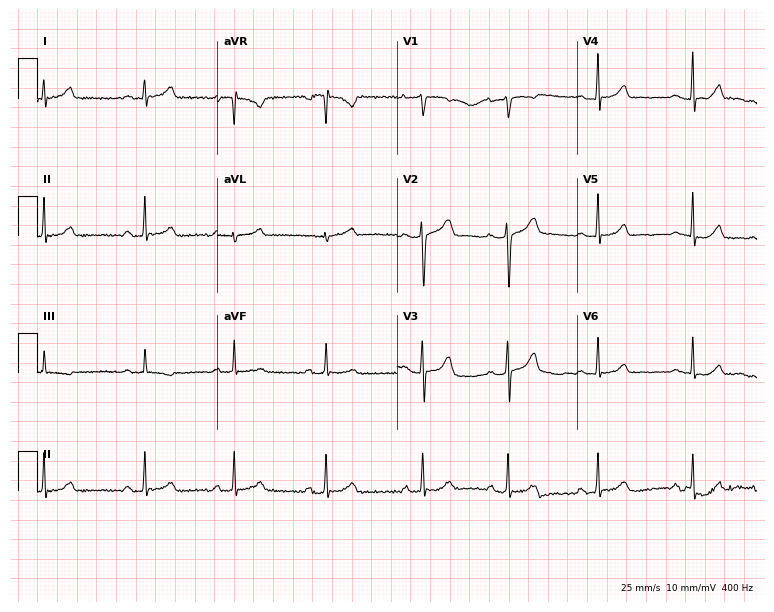
ECG — a 17-year-old female. Screened for six findings — first-degree AV block, right bundle branch block (RBBB), left bundle branch block (LBBB), sinus bradycardia, atrial fibrillation (AF), sinus tachycardia — none is recorded.